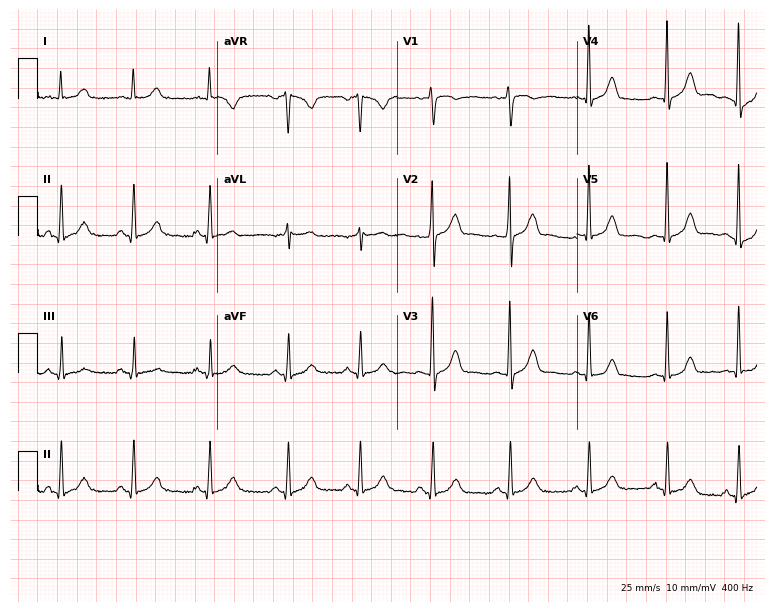
Electrocardiogram (7.3-second recording at 400 Hz), a 40-year-old male. Overall reading on record: normal ECG.